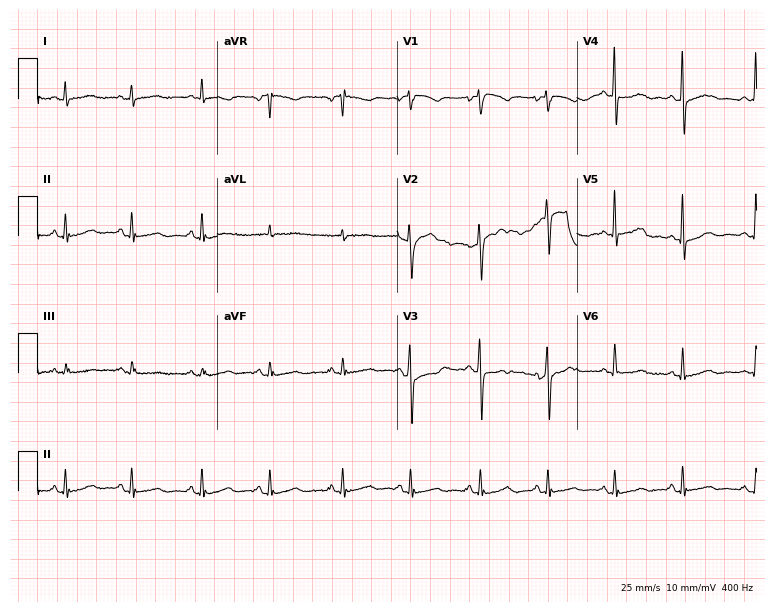
Standard 12-lead ECG recorded from a female, 70 years old. None of these six findings is recorded: first-degree AV block, right bundle branch block (RBBB), left bundle branch block (LBBB), sinus bradycardia, atrial fibrillation (AF), sinus tachycardia. Only these six findings were labelled.